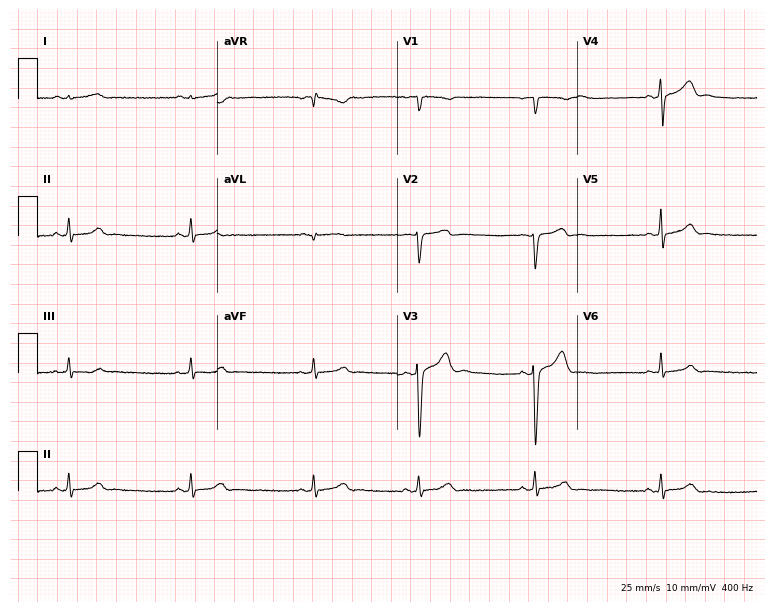
Resting 12-lead electrocardiogram (7.3-second recording at 400 Hz). Patient: a 32-year-old male. The tracing shows sinus bradycardia (a sinus rate of 50 beats per minute or less).